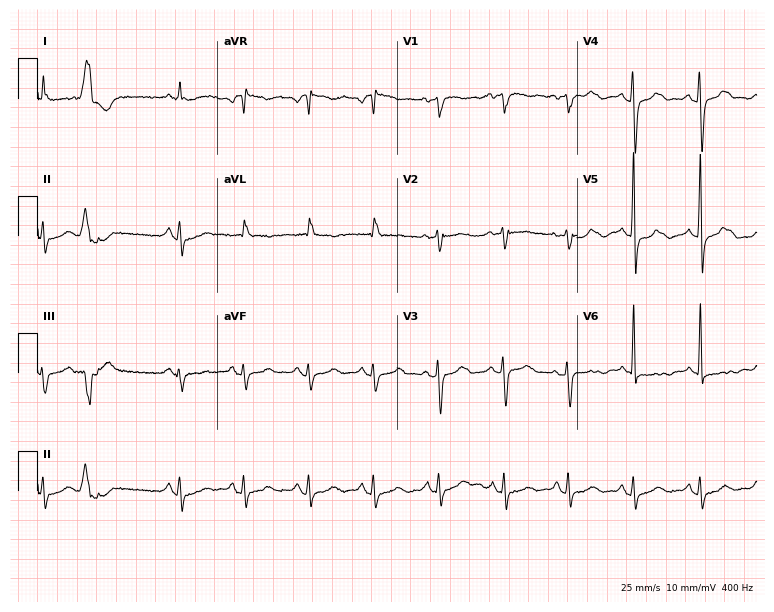
12-lead ECG from a female, 83 years old. Screened for six findings — first-degree AV block, right bundle branch block, left bundle branch block, sinus bradycardia, atrial fibrillation, sinus tachycardia — none is recorded. Other findings, if any, are not listed.